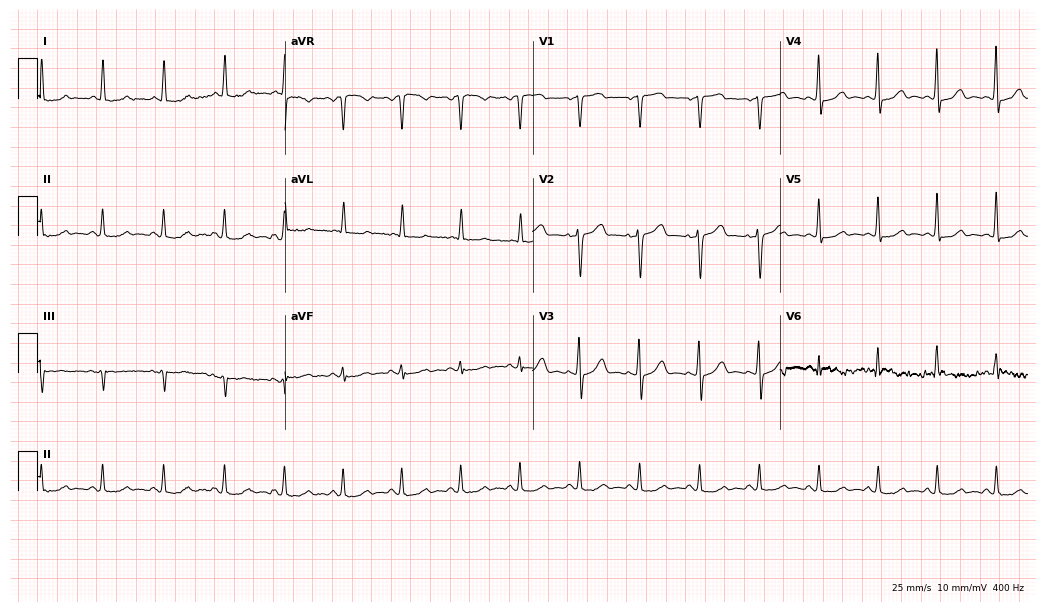
12-lead ECG (10.1-second recording at 400 Hz) from a female patient, 66 years old. Screened for six findings — first-degree AV block, right bundle branch block (RBBB), left bundle branch block (LBBB), sinus bradycardia, atrial fibrillation (AF), sinus tachycardia — none is recorded.